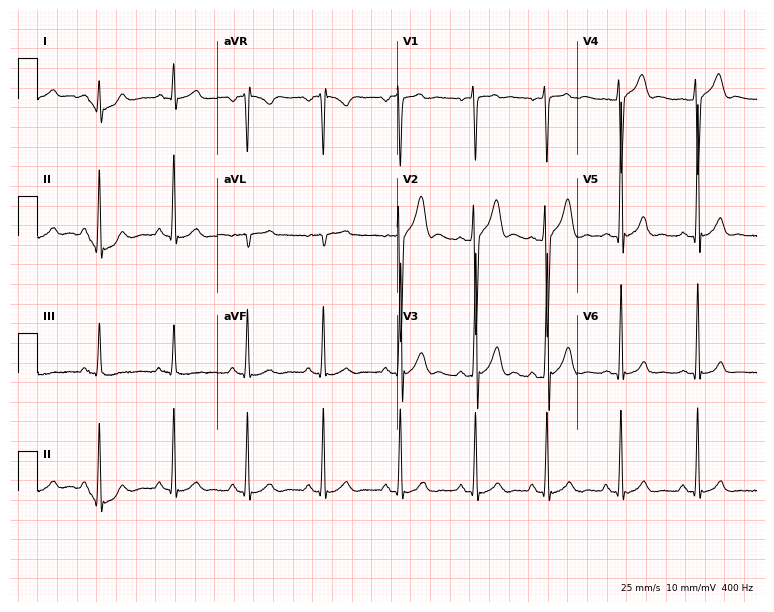
12-lead ECG from a man, 19 years old. Recorded interpretation: within normal limits.